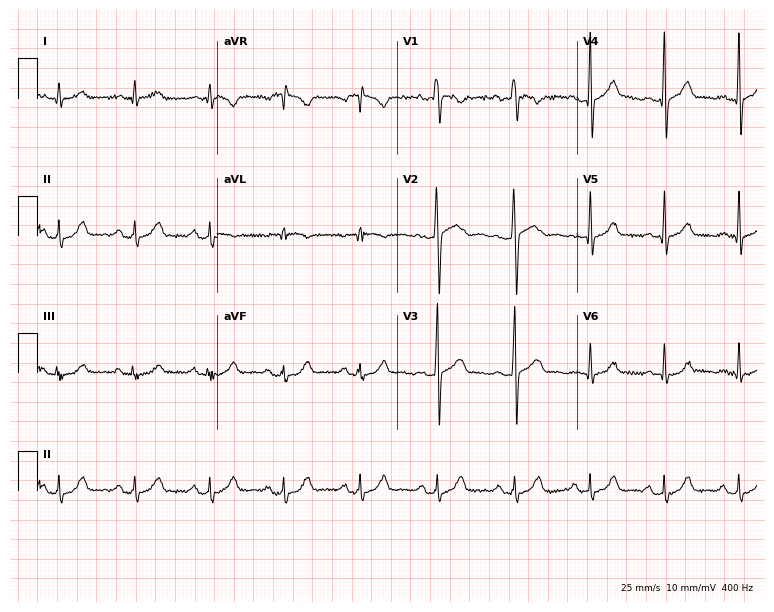
ECG (7.3-second recording at 400 Hz) — a 31-year-old male patient. Labelled as a normal ECG.